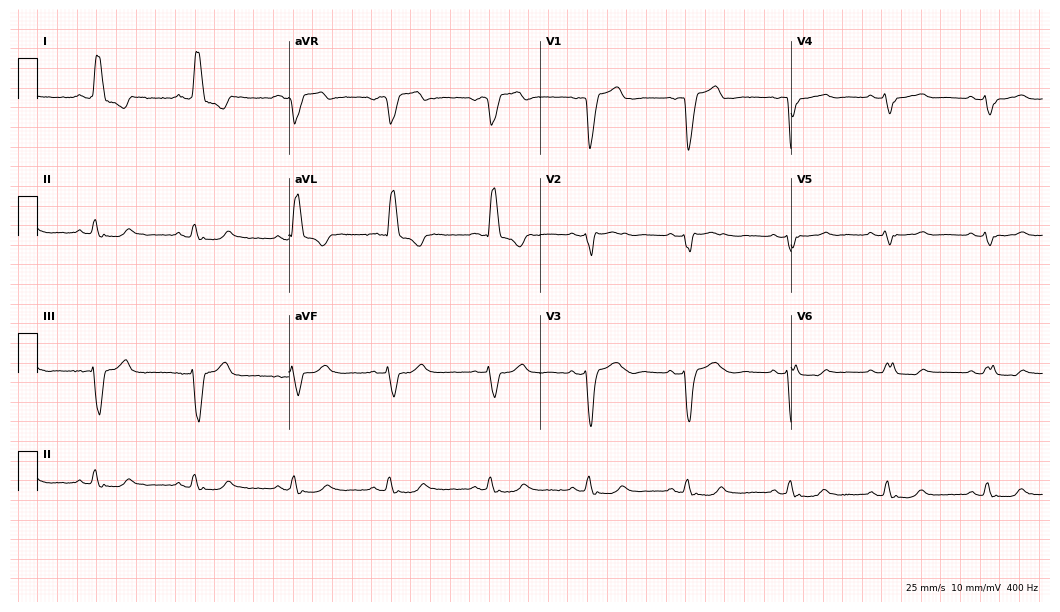
12-lead ECG (10.2-second recording at 400 Hz) from a female, 52 years old. Findings include left bundle branch block.